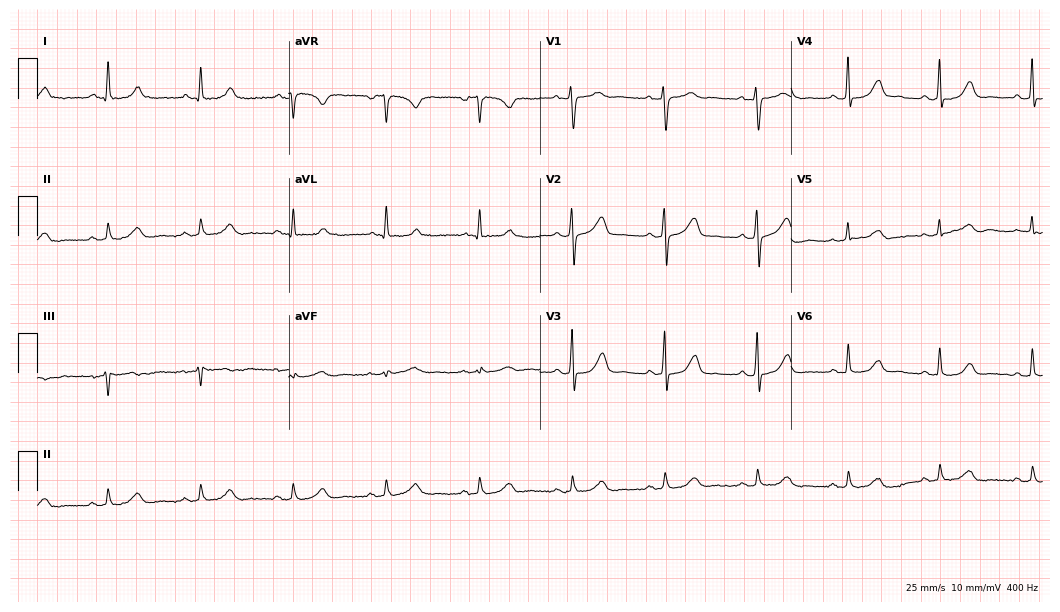
Resting 12-lead electrocardiogram (10.2-second recording at 400 Hz). Patient: a 66-year-old female. Read as a normal ECG.